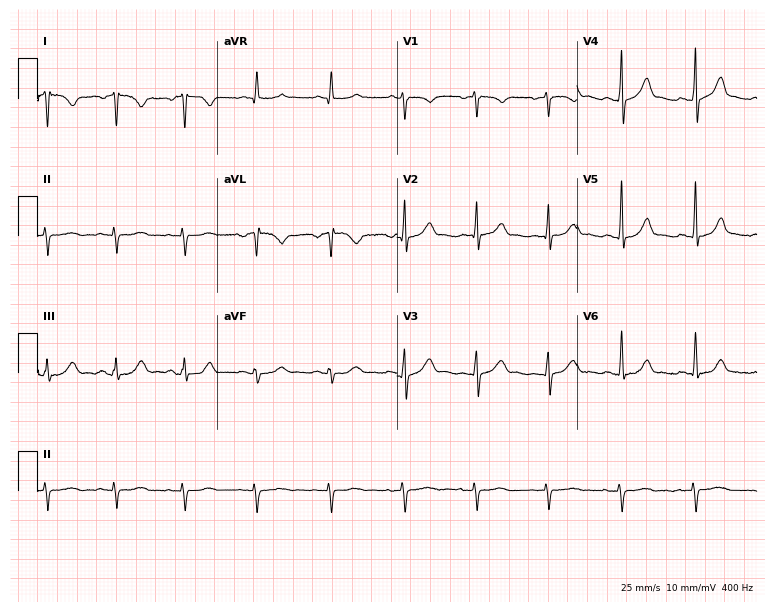
Resting 12-lead electrocardiogram. Patient: a man, 62 years old. None of these six findings is recorded: first-degree AV block, right bundle branch block, left bundle branch block, sinus bradycardia, atrial fibrillation, sinus tachycardia. Only these six findings were labelled.